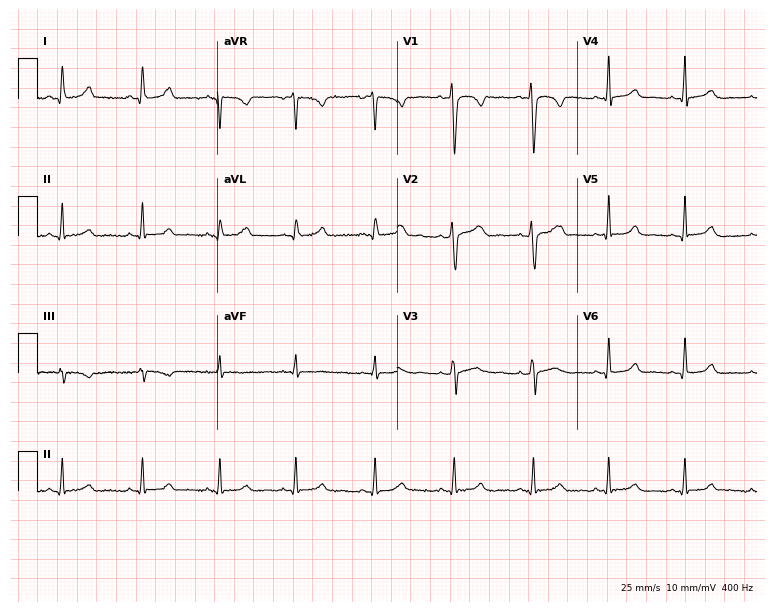
12-lead ECG (7.3-second recording at 400 Hz) from a female patient, 29 years old. Labelled as a normal ECG.